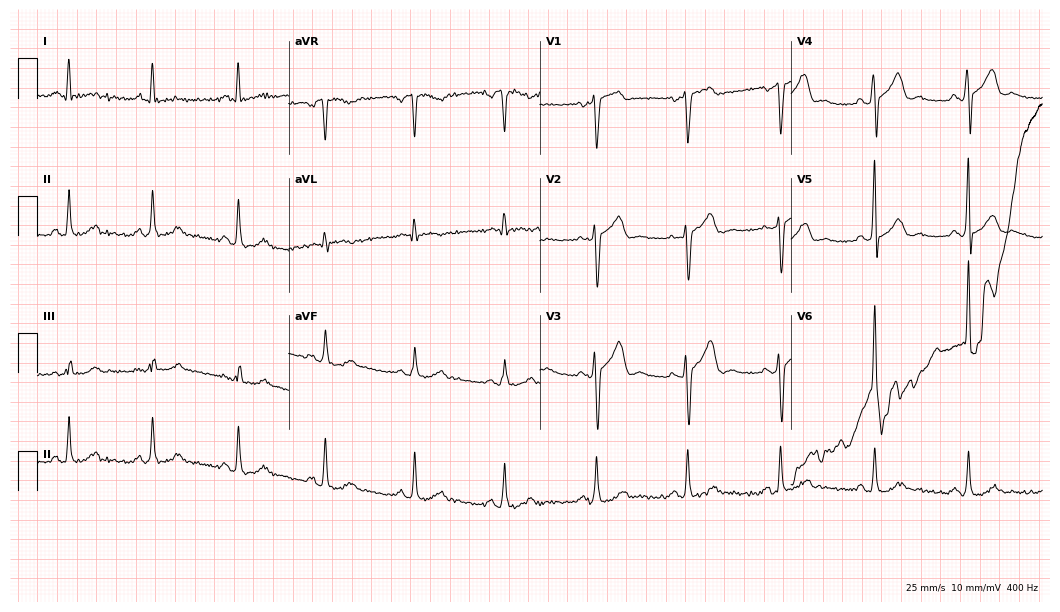
Electrocardiogram, a man, 64 years old. Overall reading on record: normal ECG.